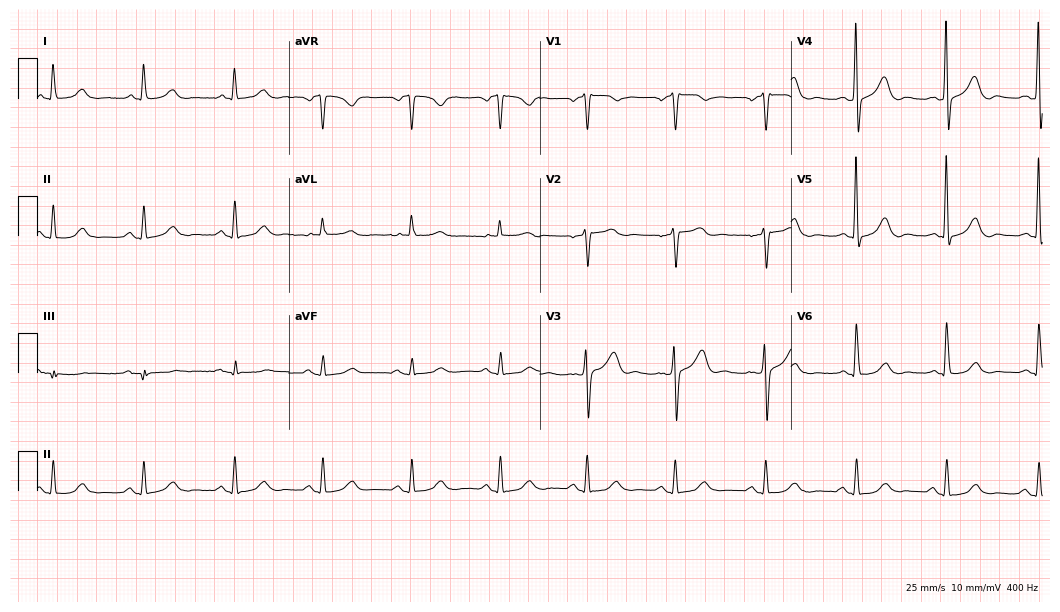
12-lead ECG (10.2-second recording at 400 Hz) from a 75-year-old male. Labelled as a normal ECG.